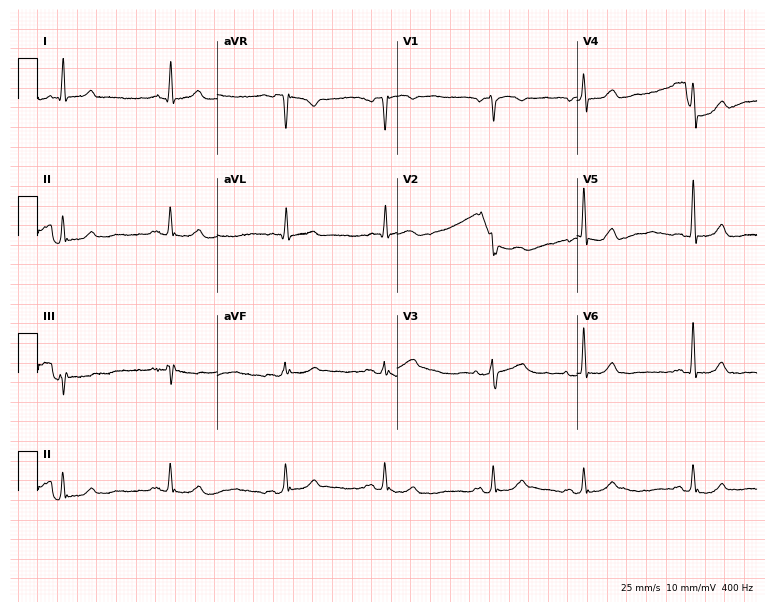
12-lead ECG from an 81-year-old male patient (7.3-second recording at 400 Hz). No first-degree AV block, right bundle branch block, left bundle branch block, sinus bradycardia, atrial fibrillation or sinus tachycardia recorded for this tracing.